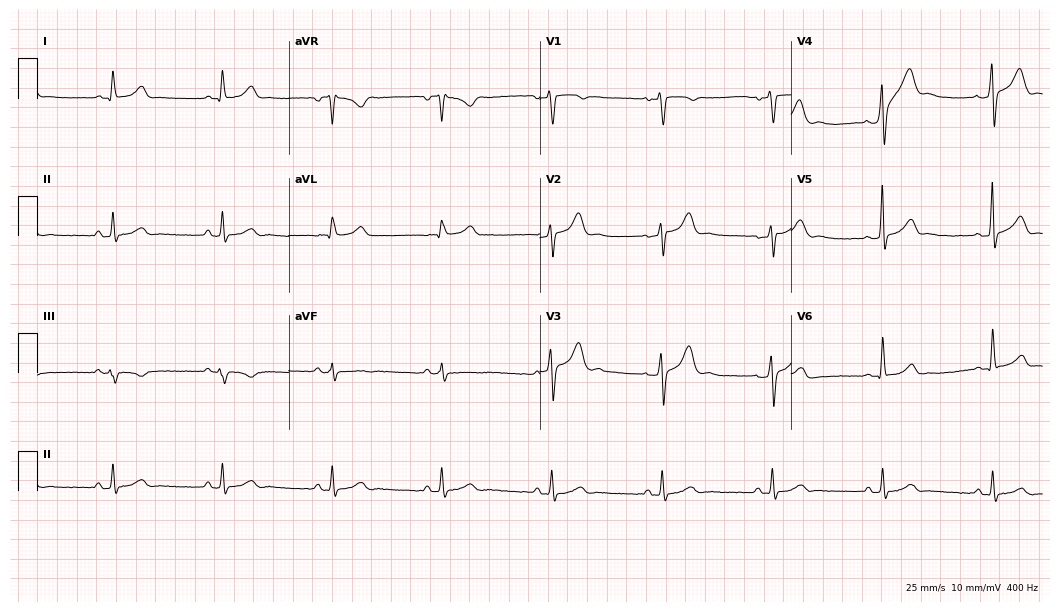
Standard 12-lead ECG recorded from a 47-year-old man. Read as a normal ECG.